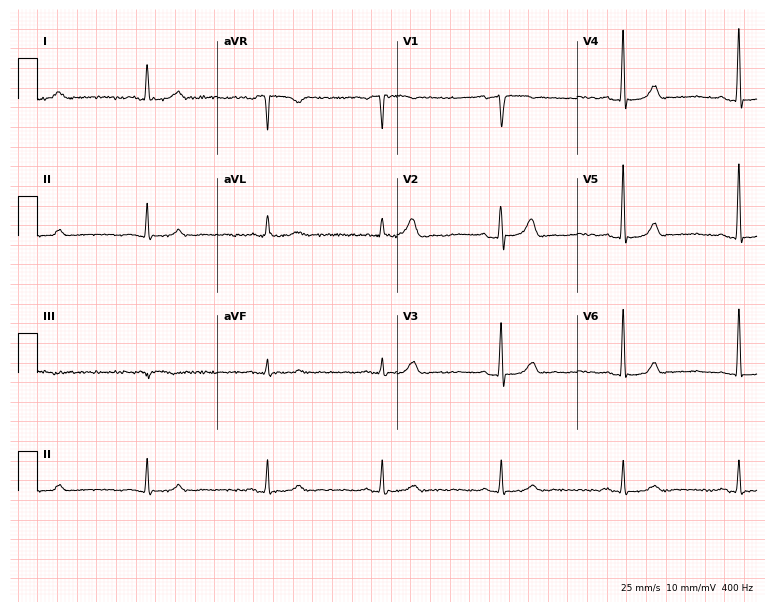
12-lead ECG from a 64-year-old male. Labelled as a normal ECG.